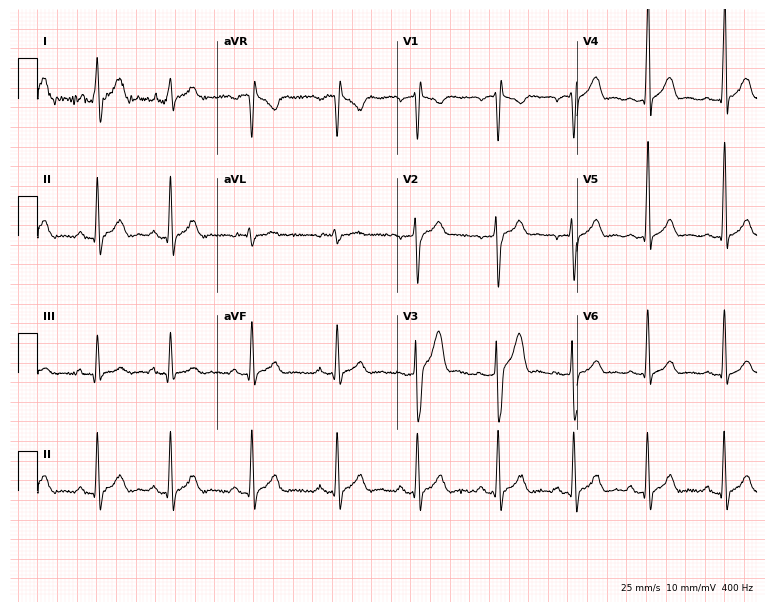
Standard 12-lead ECG recorded from a 40-year-old man. Read as a normal ECG.